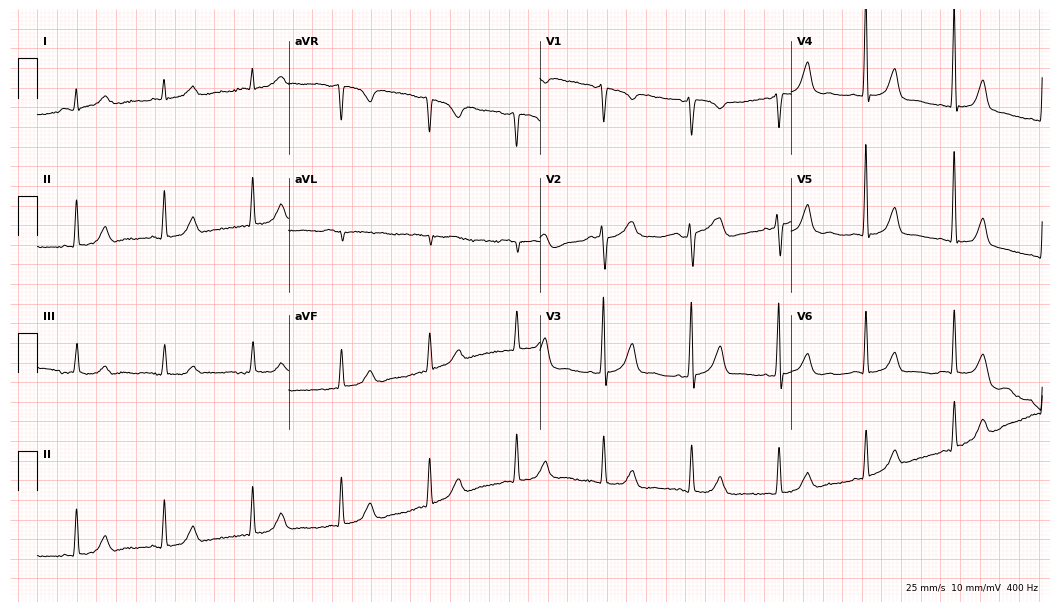
Standard 12-lead ECG recorded from a woman, 82 years old (10.2-second recording at 400 Hz). Read as a normal ECG.